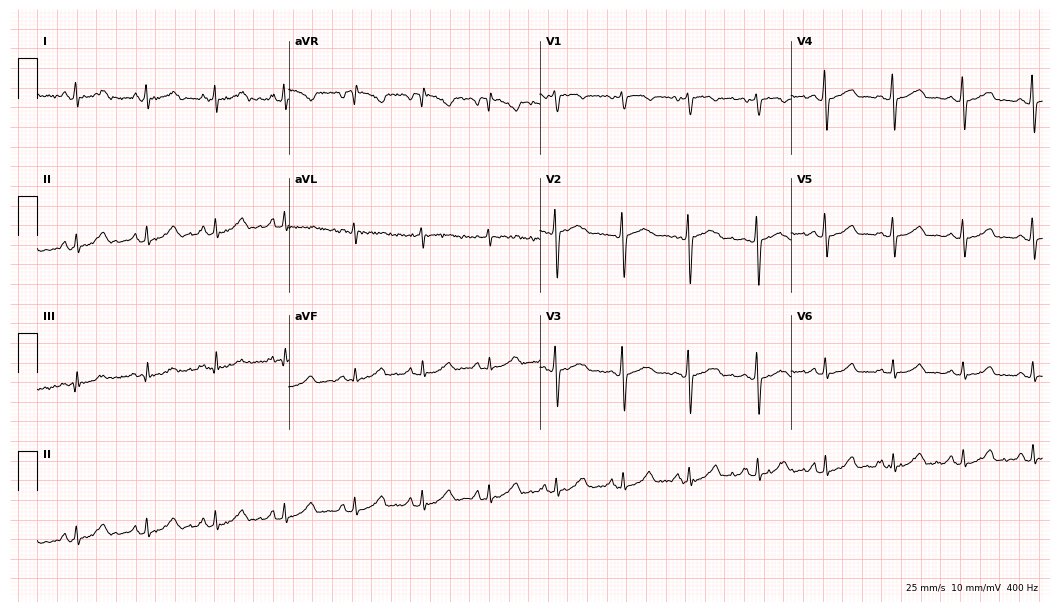
ECG — a 43-year-old female. Screened for six findings — first-degree AV block, right bundle branch block, left bundle branch block, sinus bradycardia, atrial fibrillation, sinus tachycardia — none is recorded.